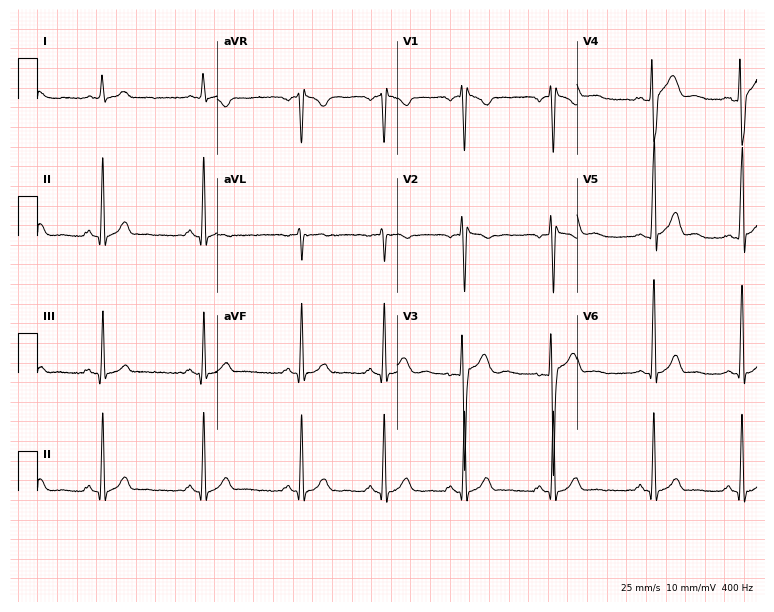
12-lead ECG (7.3-second recording at 400 Hz) from a 20-year-old man. Screened for six findings — first-degree AV block, right bundle branch block (RBBB), left bundle branch block (LBBB), sinus bradycardia, atrial fibrillation (AF), sinus tachycardia — none is recorded. Findings outside these six are not listed.